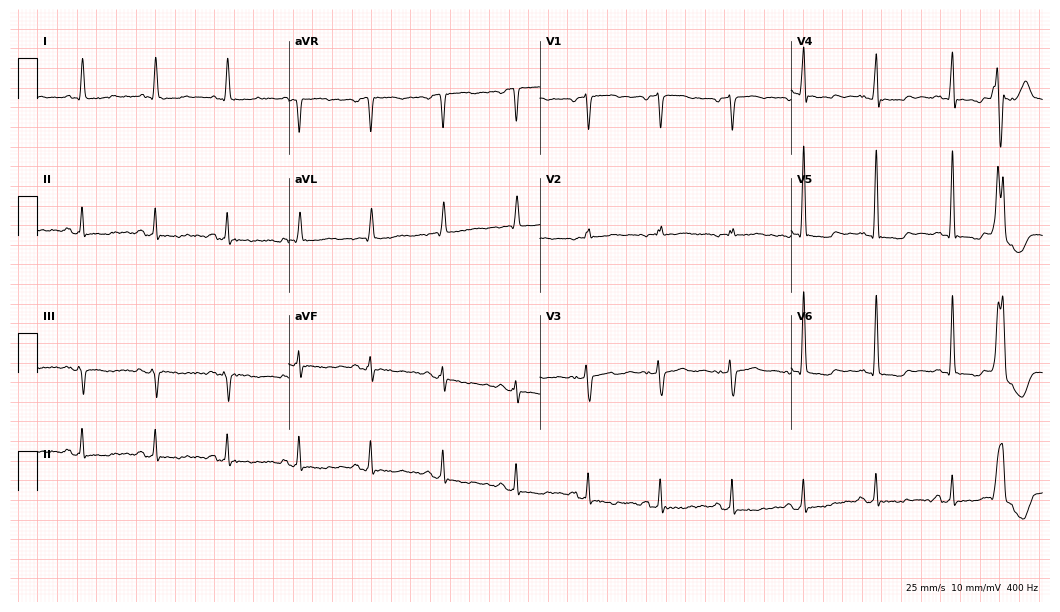
12-lead ECG from a woman, 79 years old (10.2-second recording at 400 Hz). Recorded interpretation: within normal limits.